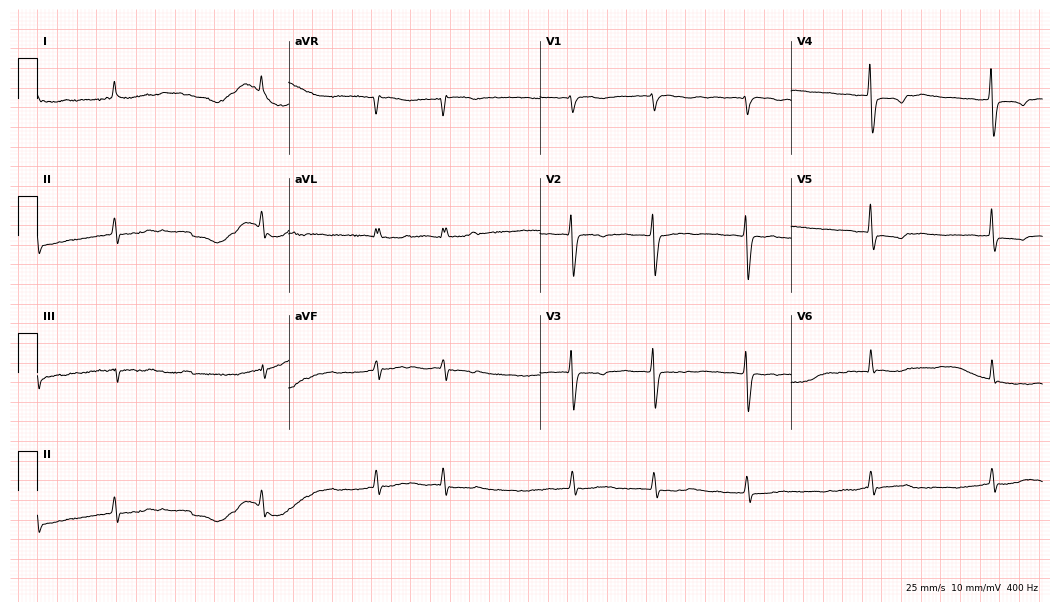
Electrocardiogram (10.2-second recording at 400 Hz), a female, 67 years old. Interpretation includes atrial fibrillation (AF).